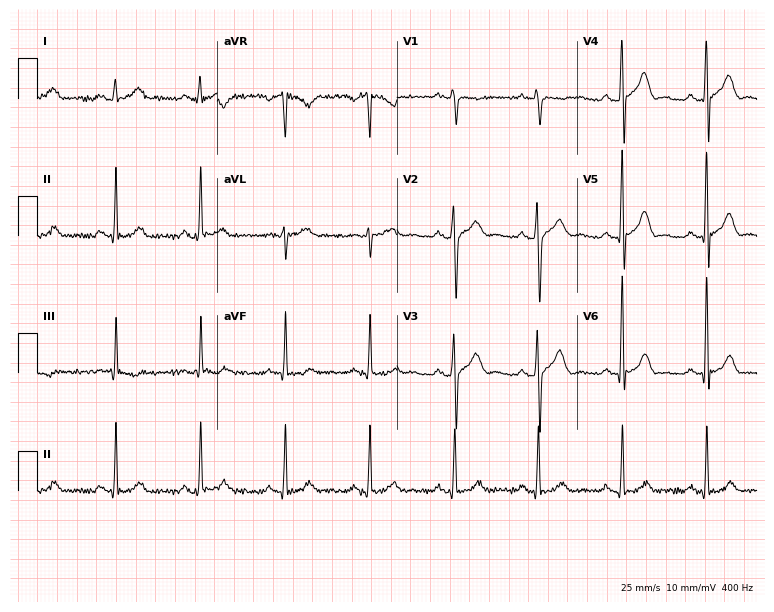
Electrocardiogram (7.3-second recording at 400 Hz), a 39-year-old male. Overall reading on record: normal ECG.